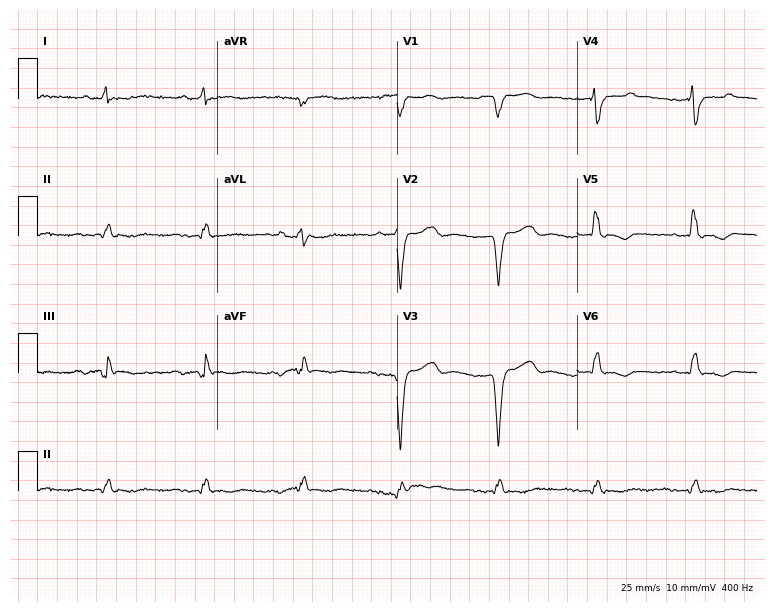
ECG (7.3-second recording at 400 Hz) — a male, 71 years old. Screened for six findings — first-degree AV block, right bundle branch block, left bundle branch block, sinus bradycardia, atrial fibrillation, sinus tachycardia — none is recorded.